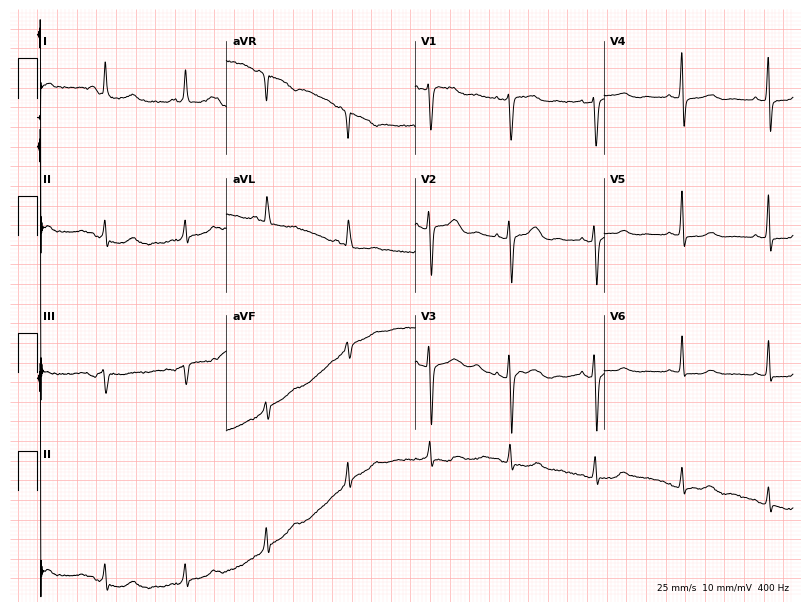
12-lead ECG (7.7-second recording at 400 Hz) from a 66-year-old female. Screened for six findings — first-degree AV block, right bundle branch block, left bundle branch block, sinus bradycardia, atrial fibrillation, sinus tachycardia — none is recorded.